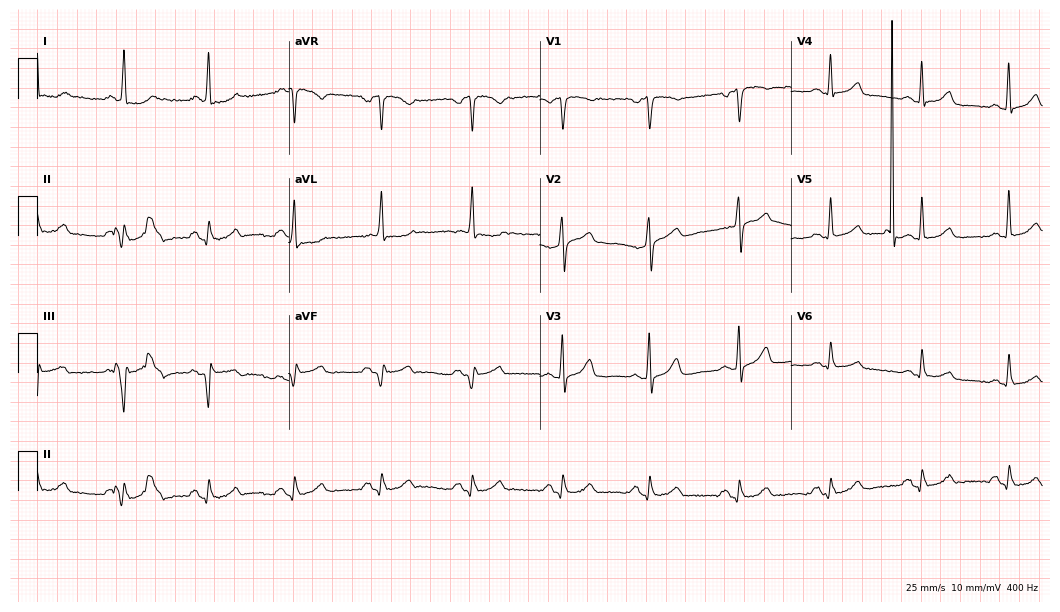
Resting 12-lead electrocardiogram. Patient: a woman, 51 years old. None of these six findings is recorded: first-degree AV block, right bundle branch block, left bundle branch block, sinus bradycardia, atrial fibrillation, sinus tachycardia.